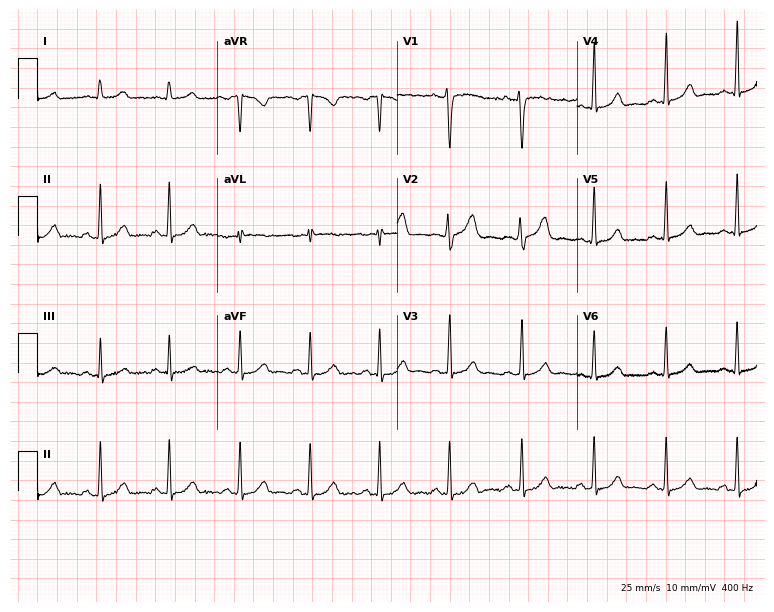
ECG (7.3-second recording at 400 Hz) — a 38-year-old woman. Labelled as a normal ECG.